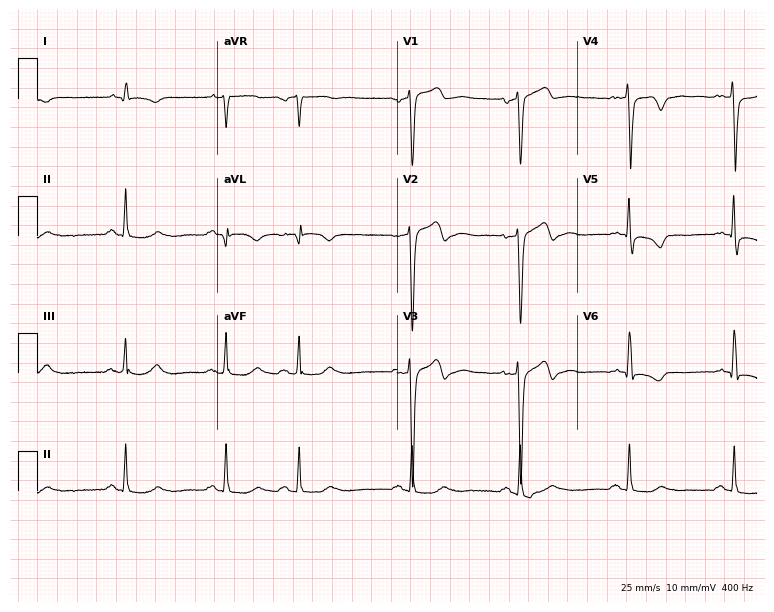
12-lead ECG (7.3-second recording at 400 Hz) from a male, 76 years old. Screened for six findings — first-degree AV block, right bundle branch block, left bundle branch block, sinus bradycardia, atrial fibrillation, sinus tachycardia — none is recorded.